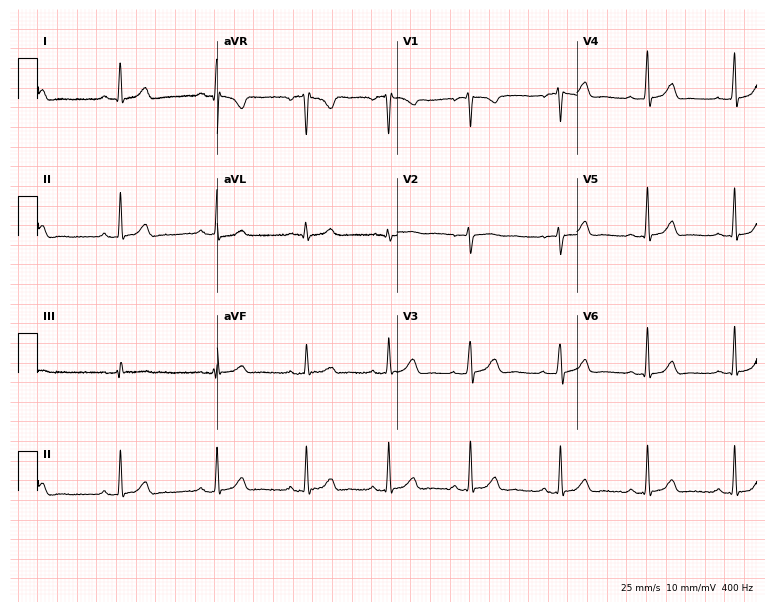
Resting 12-lead electrocardiogram. Patient: a female, 21 years old. None of these six findings is recorded: first-degree AV block, right bundle branch block, left bundle branch block, sinus bradycardia, atrial fibrillation, sinus tachycardia.